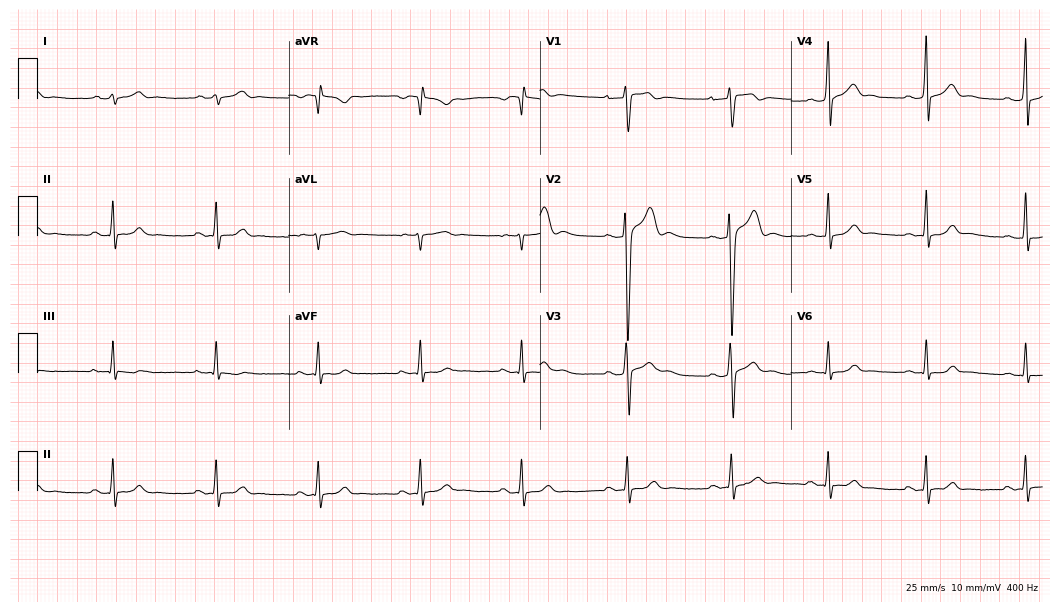
Standard 12-lead ECG recorded from a male patient, 26 years old (10.2-second recording at 400 Hz). Read as a normal ECG.